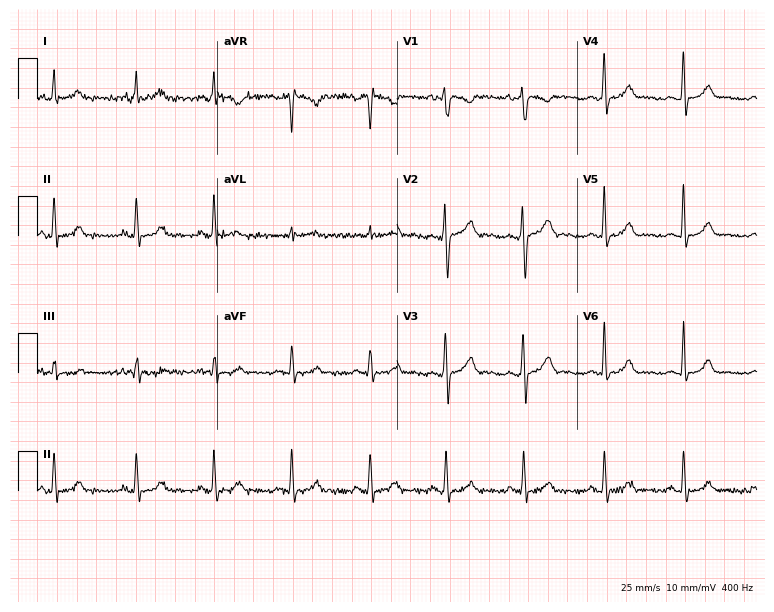
ECG — a female patient, 31 years old. Screened for six findings — first-degree AV block, right bundle branch block, left bundle branch block, sinus bradycardia, atrial fibrillation, sinus tachycardia — none is recorded.